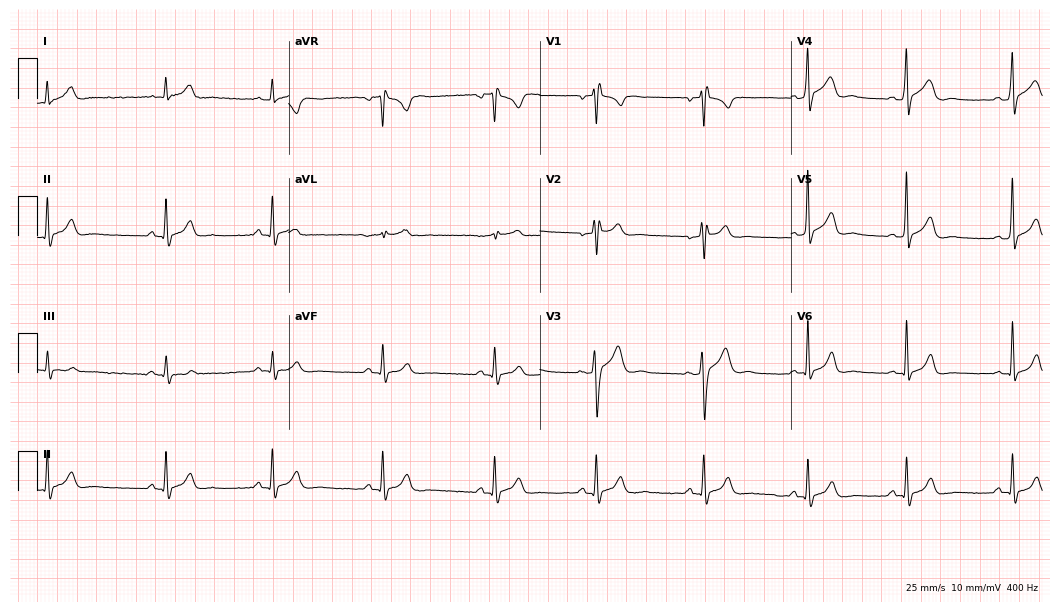
Resting 12-lead electrocardiogram (10.2-second recording at 400 Hz). Patient: a 22-year-old man. Read as a normal ECG.